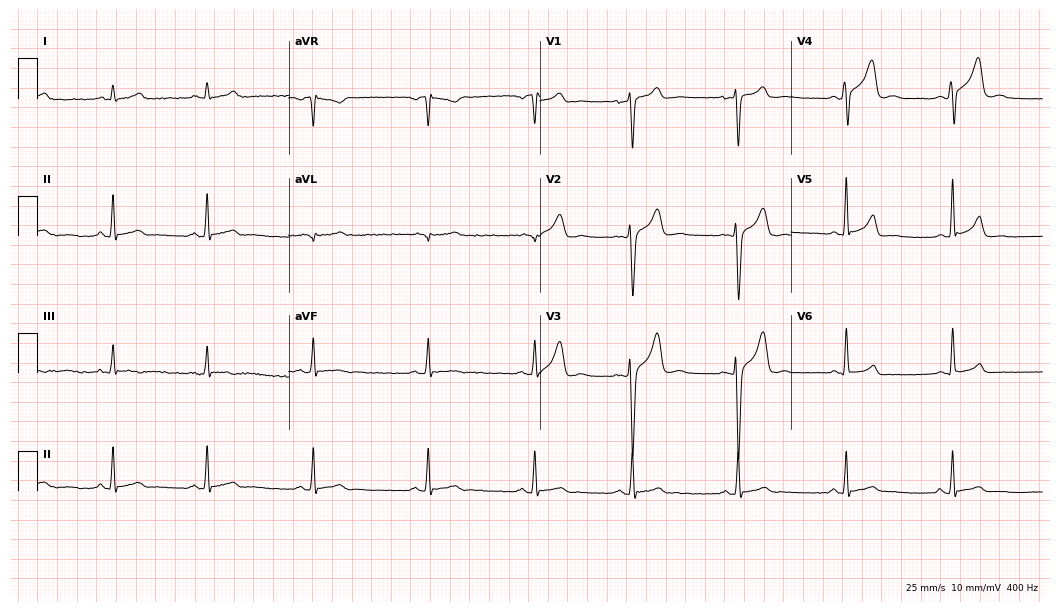
Electrocardiogram, a male, 21 years old. Overall reading on record: normal ECG.